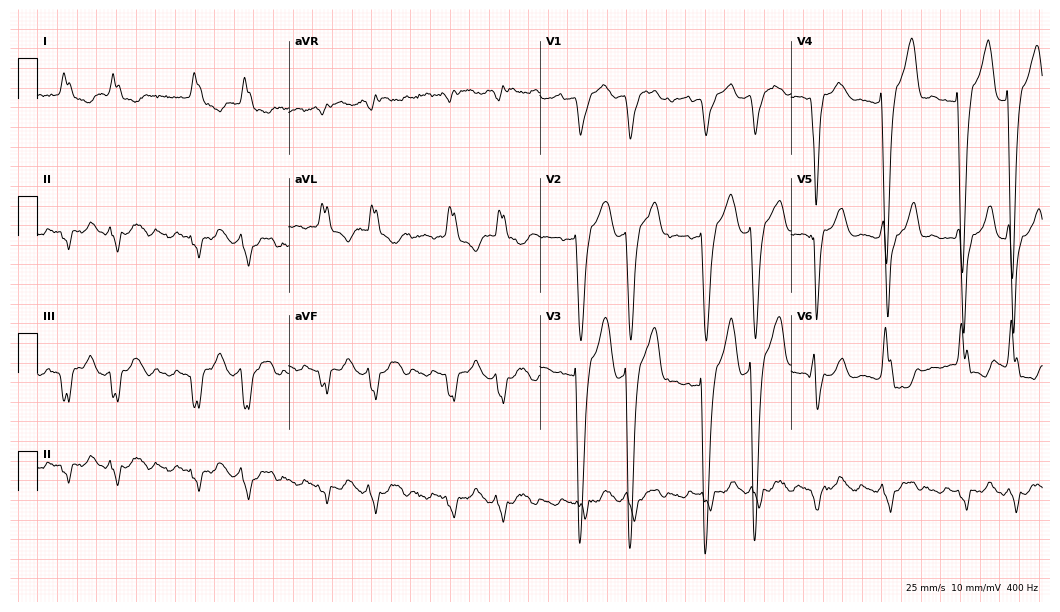
Resting 12-lead electrocardiogram (10.2-second recording at 400 Hz). Patient: an 85-year-old male. The tracing shows left bundle branch block.